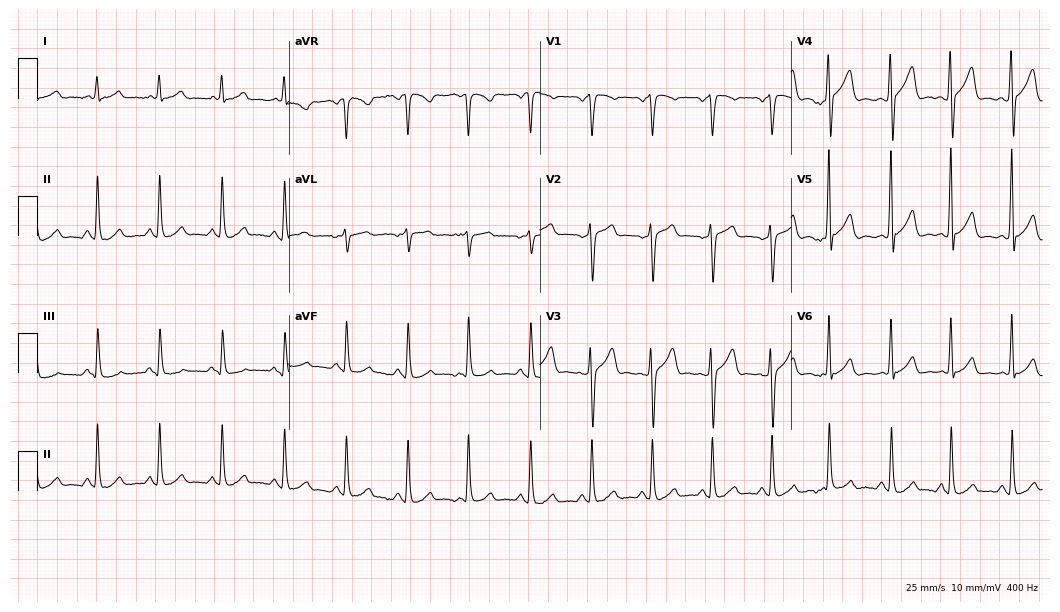
Standard 12-lead ECG recorded from a 51-year-old male patient (10.2-second recording at 400 Hz). Read as a normal ECG.